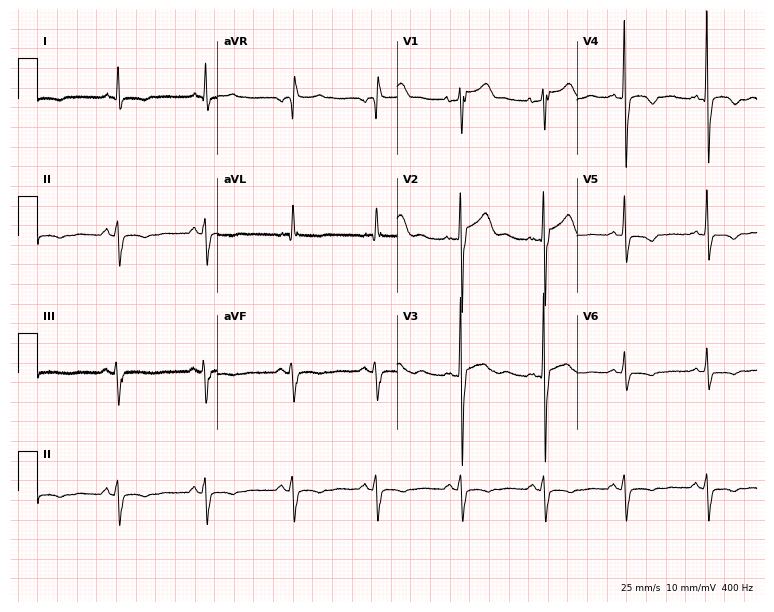
12-lead ECG from a 61-year-old male patient. No first-degree AV block, right bundle branch block, left bundle branch block, sinus bradycardia, atrial fibrillation or sinus tachycardia recorded for this tracing. Only these six findings were labelled.